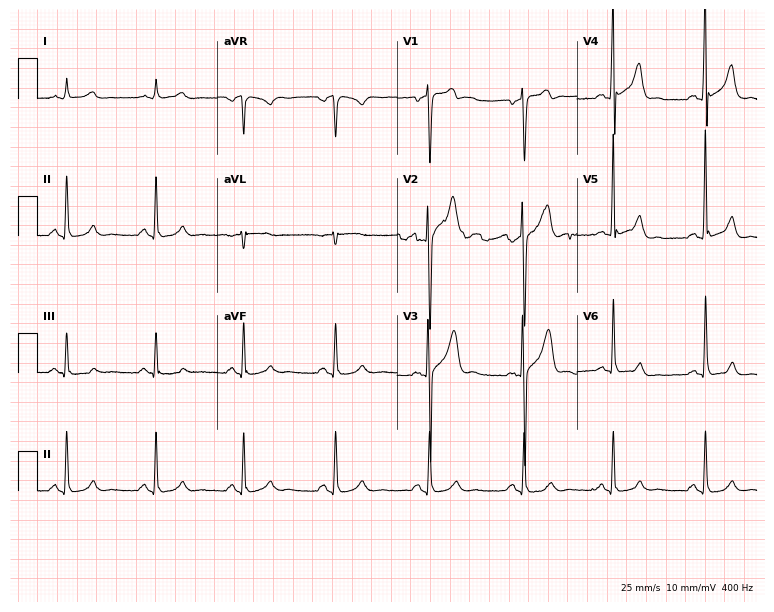
Resting 12-lead electrocardiogram. Patient: a 40-year-old male. Read as a normal ECG.